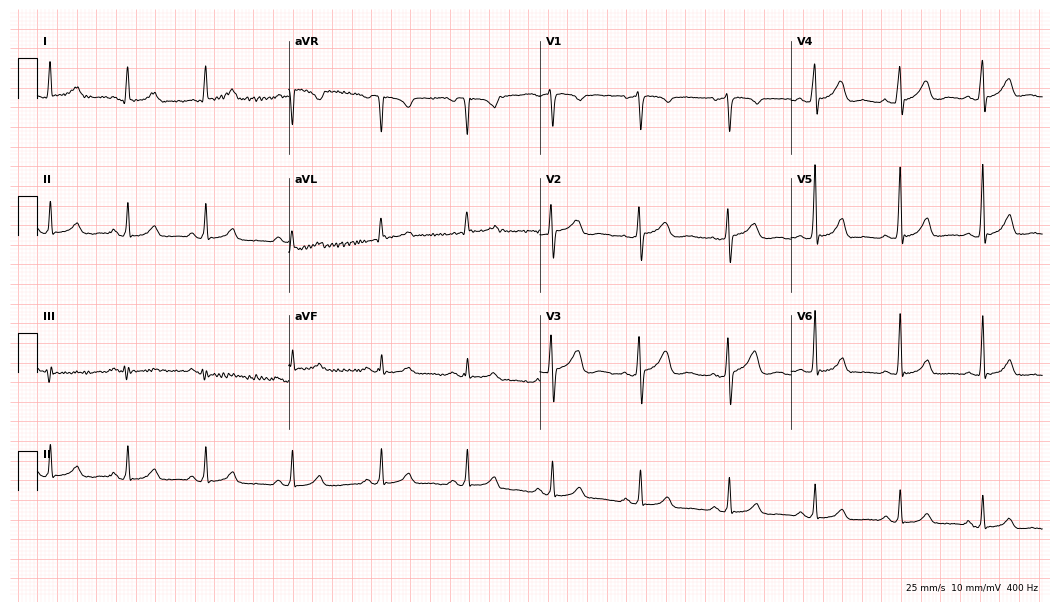
12-lead ECG from a female patient, 29 years old (10.2-second recording at 400 Hz). Recorded interpretation: within normal limits.